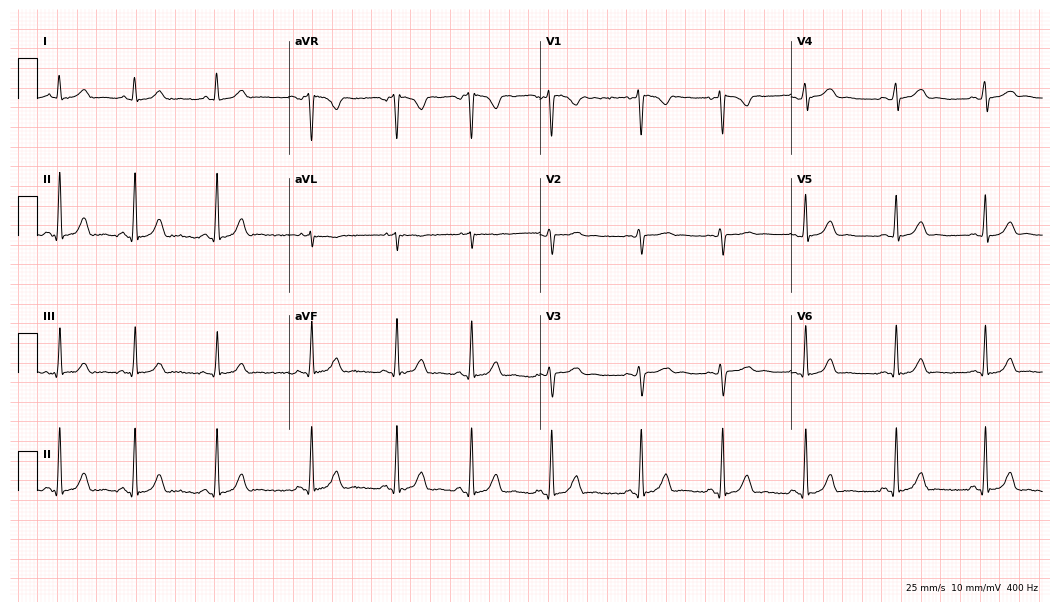
Standard 12-lead ECG recorded from a 19-year-old woman. Read as a normal ECG.